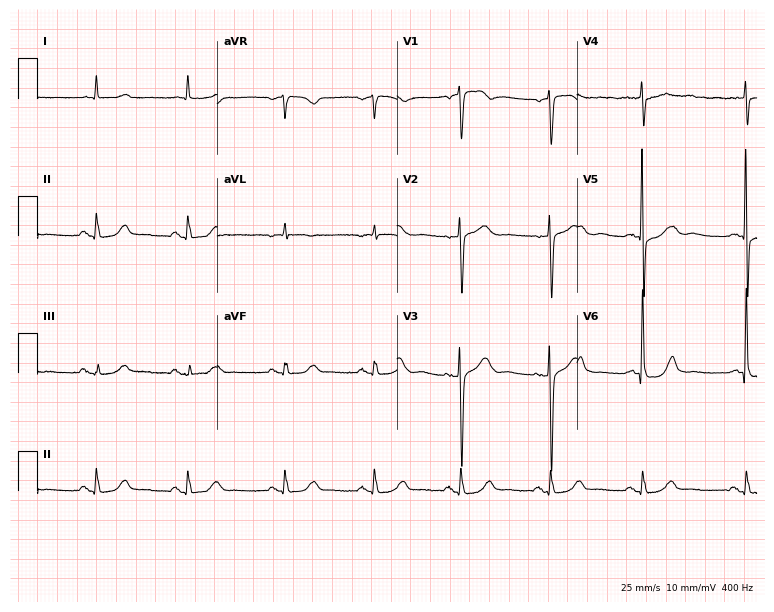
Resting 12-lead electrocardiogram (7.3-second recording at 400 Hz). Patient: a female, 73 years old. None of these six findings is recorded: first-degree AV block, right bundle branch block, left bundle branch block, sinus bradycardia, atrial fibrillation, sinus tachycardia. Other findings, if any, are not listed.